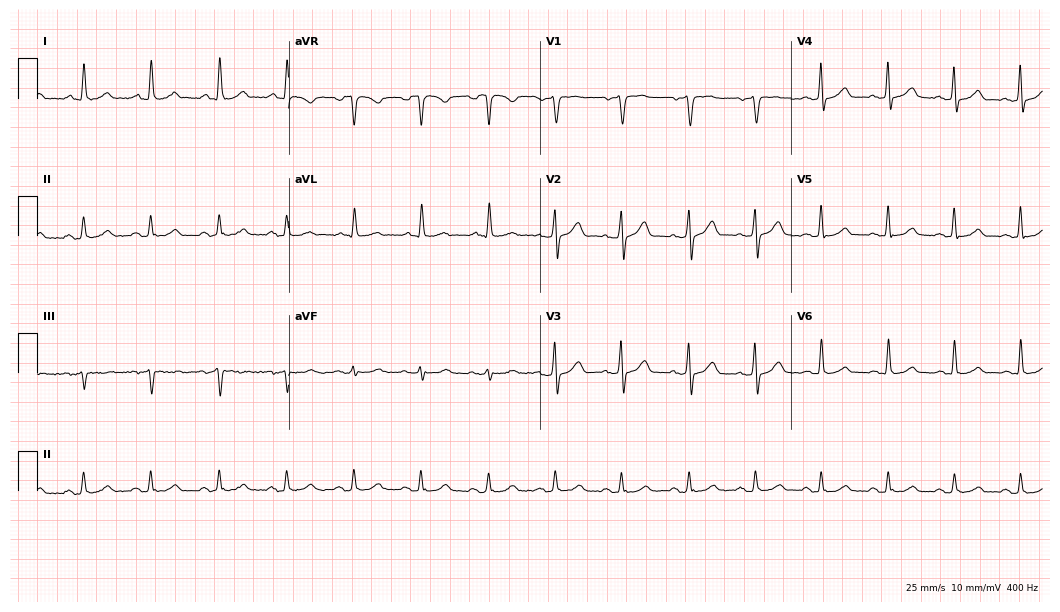
ECG (10.2-second recording at 400 Hz) — a woman, 48 years old. Labelled as a normal ECG.